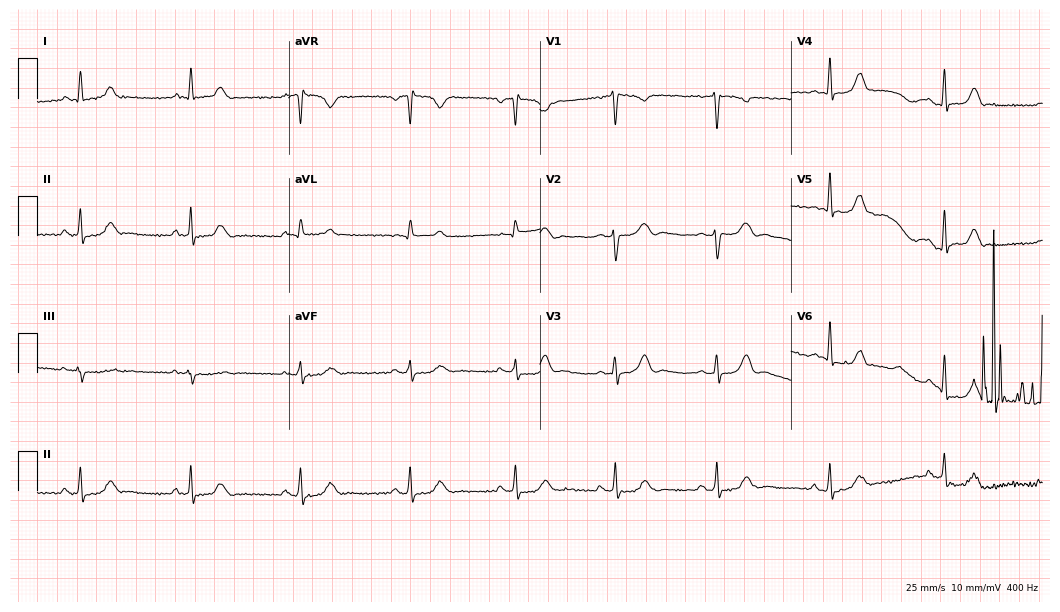
Resting 12-lead electrocardiogram. Patient: a 32-year-old female. Read as a normal ECG.